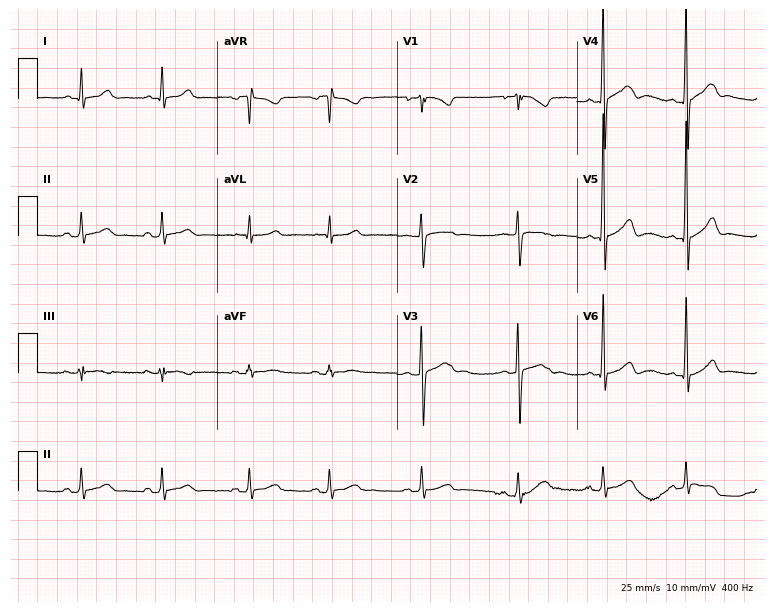
12-lead ECG from a male, 17 years old. No first-degree AV block, right bundle branch block (RBBB), left bundle branch block (LBBB), sinus bradycardia, atrial fibrillation (AF) or sinus tachycardia recorded for this tracing.